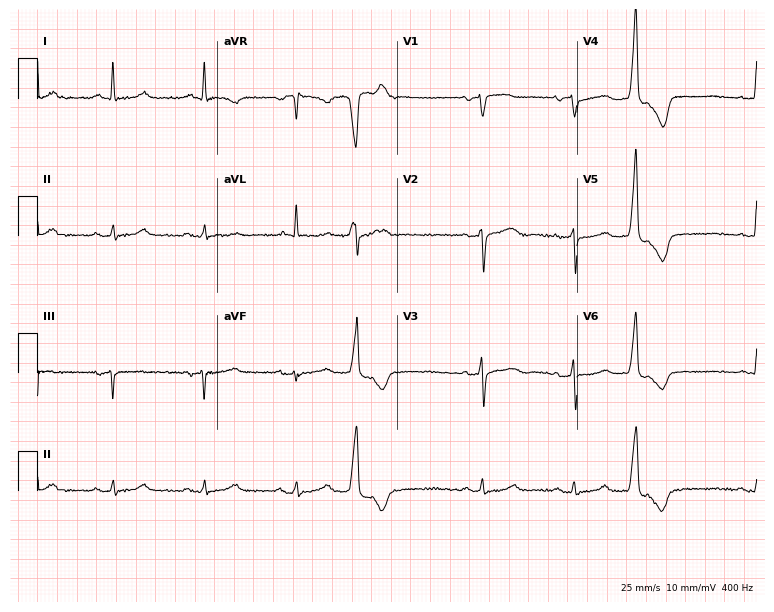
Standard 12-lead ECG recorded from a 71-year-old woman (7.3-second recording at 400 Hz). None of these six findings is recorded: first-degree AV block, right bundle branch block, left bundle branch block, sinus bradycardia, atrial fibrillation, sinus tachycardia.